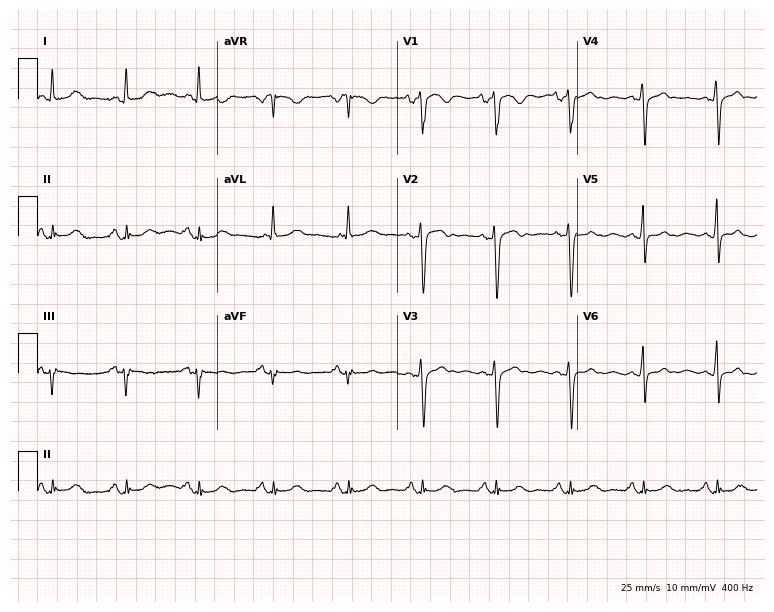
12-lead ECG from a 62-year-old woman. Recorded interpretation: within normal limits.